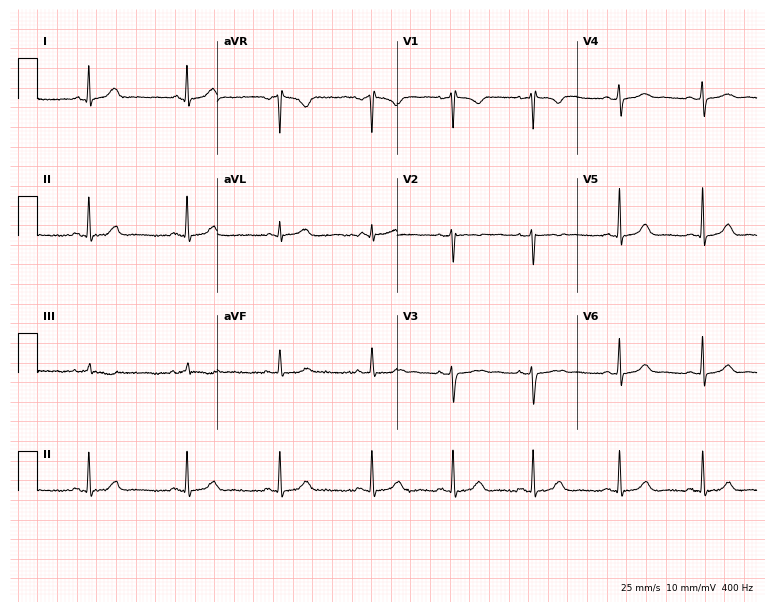
Resting 12-lead electrocardiogram. Patient: a 20-year-old woman. None of these six findings is recorded: first-degree AV block, right bundle branch block, left bundle branch block, sinus bradycardia, atrial fibrillation, sinus tachycardia. Other findings, if any, are not listed.